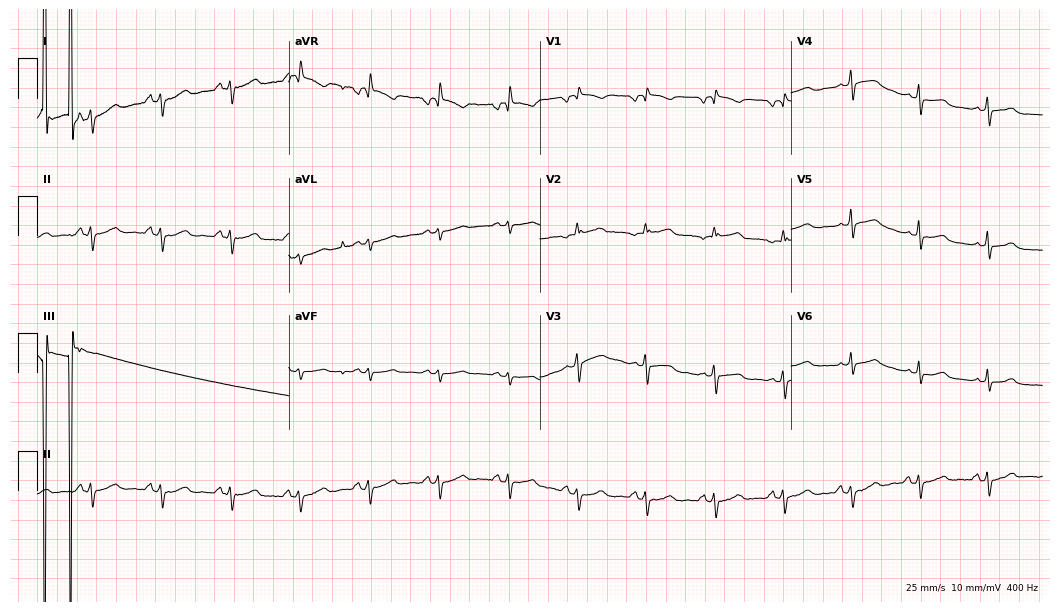
12-lead ECG from a 55-year-old female. Screened for six findings — first-degree AV block, right bundle branch block, left bundle branch block, sinus bradycardia, atrial fibrillation, sinus tachycardia — none is recorded. Findings outside these six are not listed.